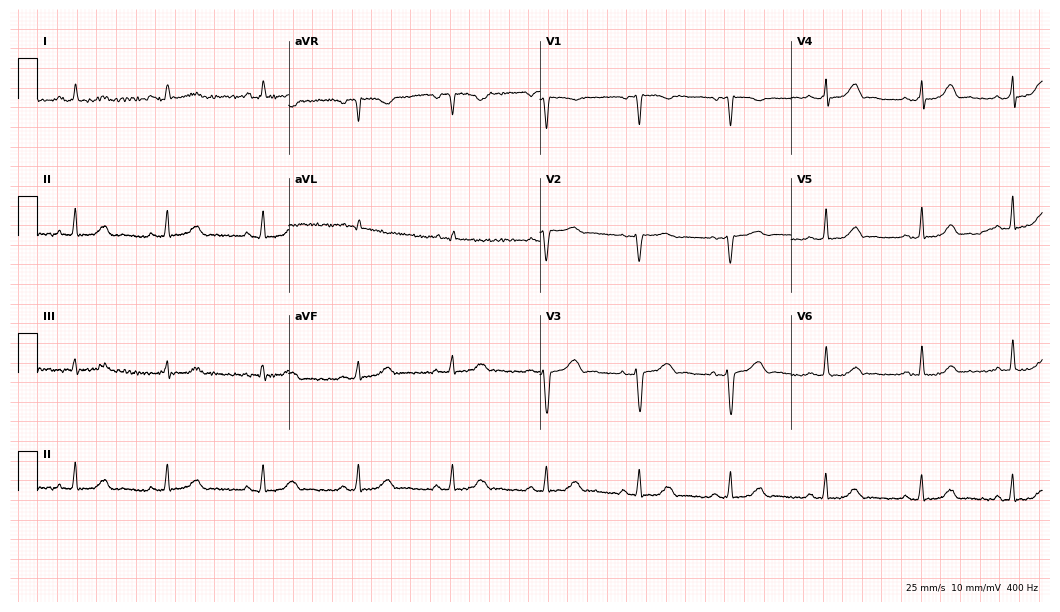
Standard 12-lead ECG recorded from a 49-year-old female (10.2-second recording at 400 Hz). None of these six findings is recorded: first-degree AV block, right bundle branch block (RBBB), left bundle branch block (LBBB), sinus bradycardia, atrial fibrillation (AF), sinus tachycardia.